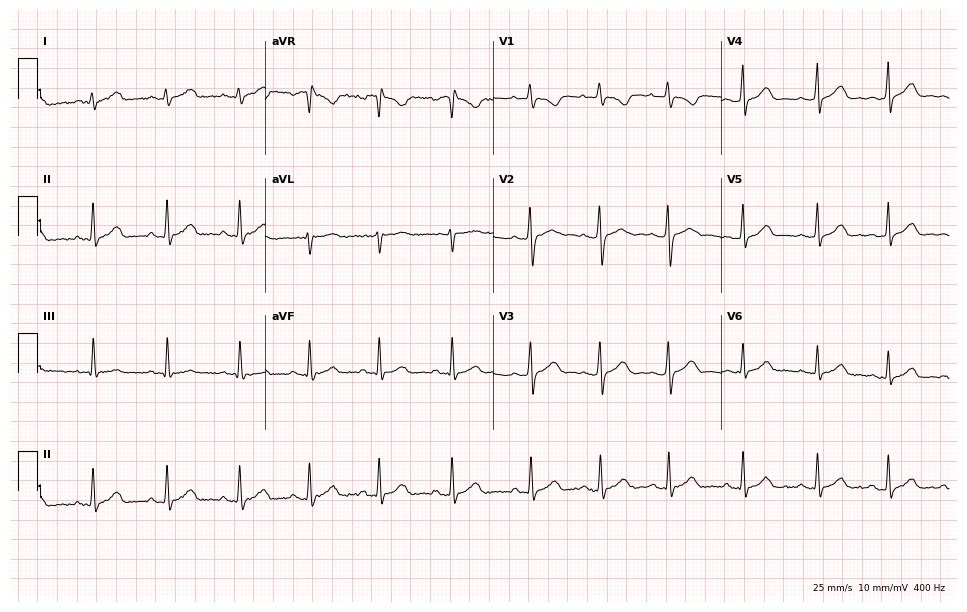
ECG — a woman, 18 years old. Labelled as a normal ECG.